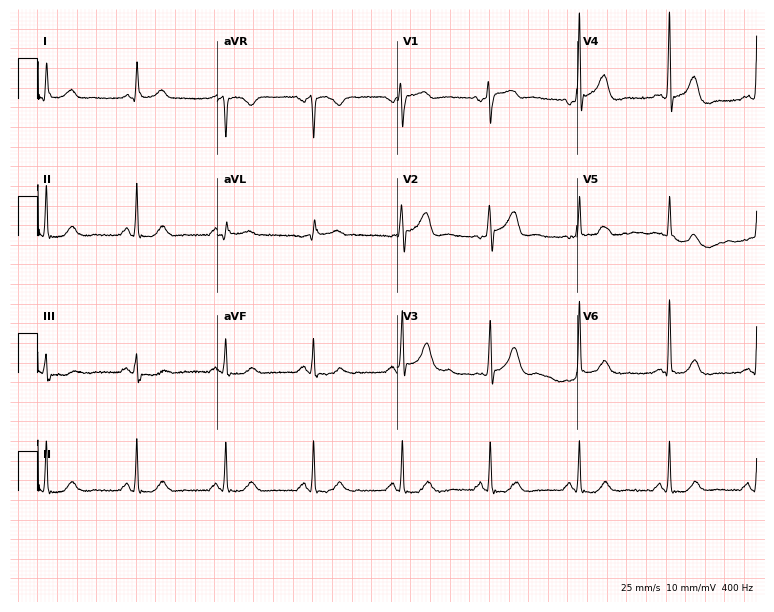
12-lead ECG from a woman, 64 years old. Labelled as a normal ECG.